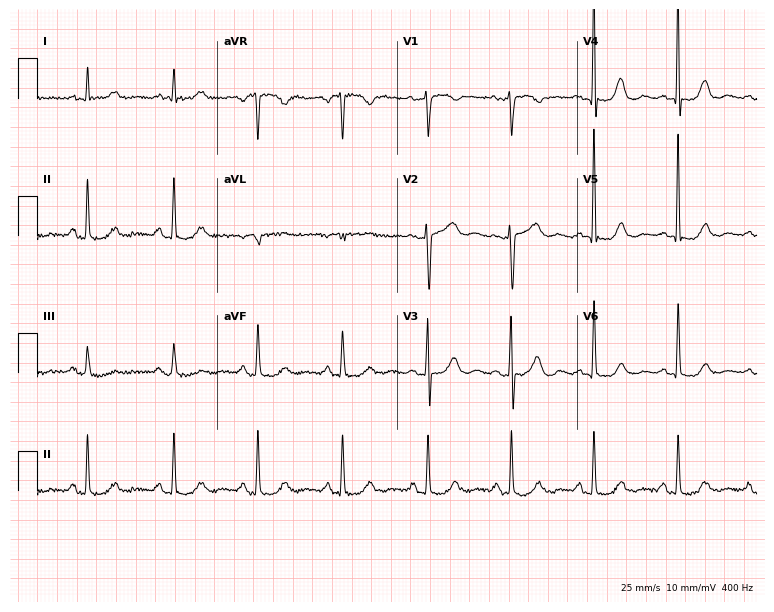
ECG (7.3-second recording at 400 Hz) — a woman, 70 years old. Labelled as a normal ECG.